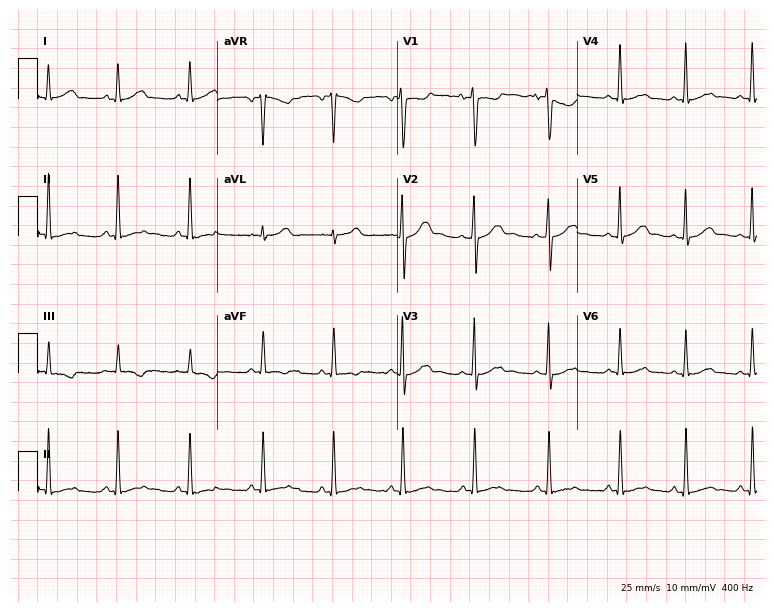
12-lead ECG from a 24-year-old female patient (7.3-second recording at 400 Hz). No first-degree AV block, right bundle branch block (RBBB), left bundle branch block (LBBB), sinus bradycardia, atrial fibrillation (AF) or sinus tachycardia recorded for this tracing. Other findings, if any, are not listed.